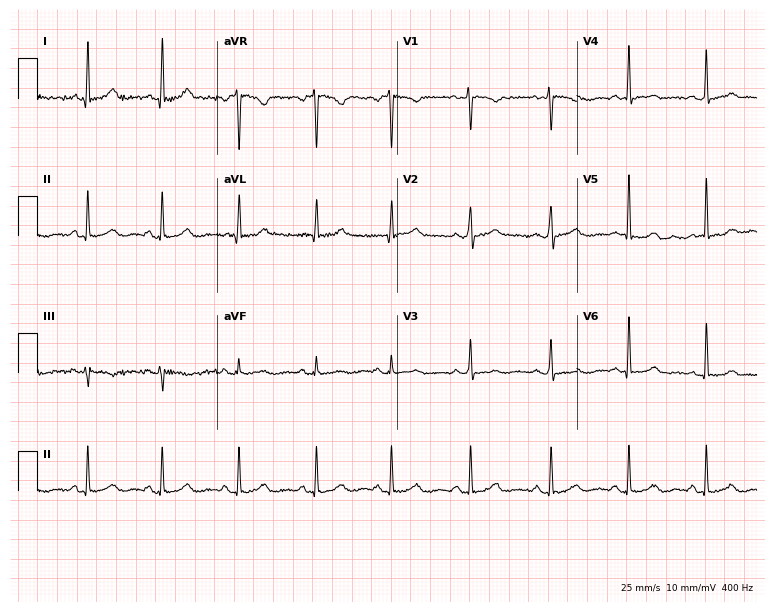
ECG (7.3-second recording at 400 Hz) — a female patient, 38 years old. Labelled as a normal ECG.